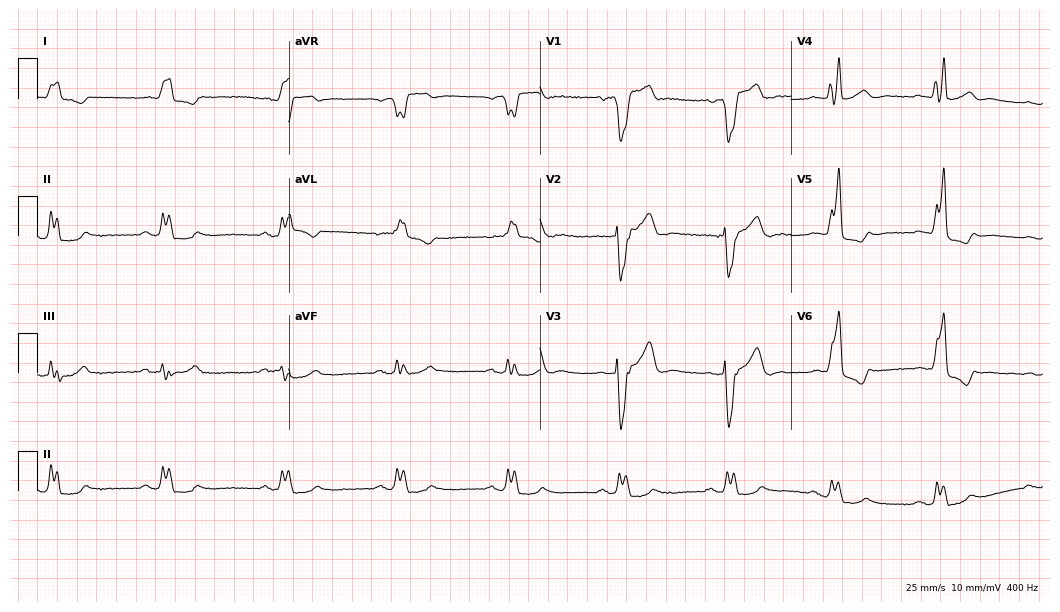
Standard 12-lead ECG recorded from a male, 73 years old. The tracing shows left bundle branch block.